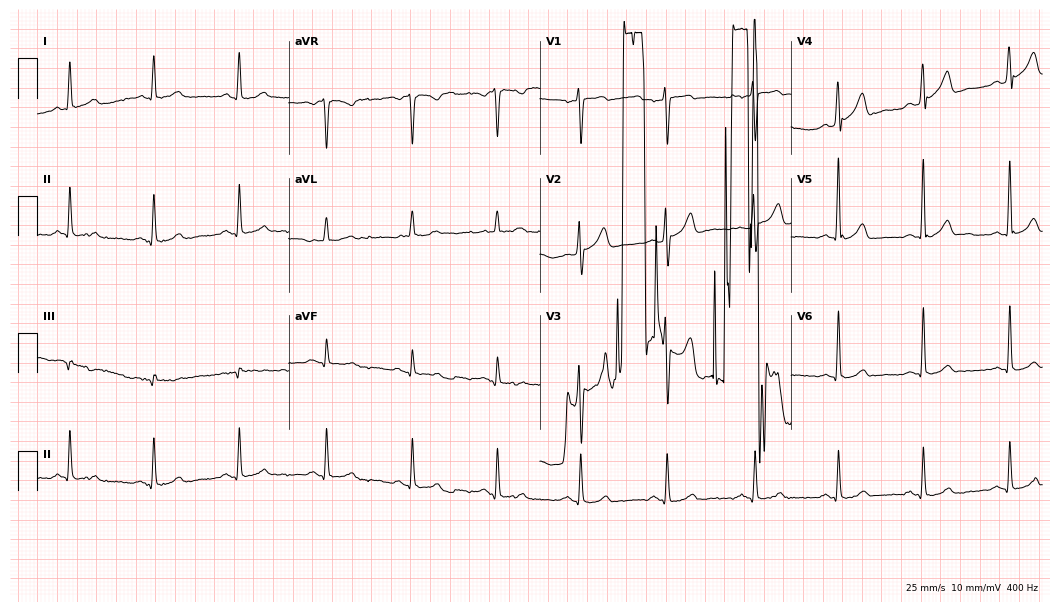
Standard 12-lead ECG recorded from a 57-year-old male patient. None of these six findings is recorded: first-degree AV block, right bundle branch block, left bundle branch block, sinus bradycardia, atrial fibrillation, sinus tachycardia.